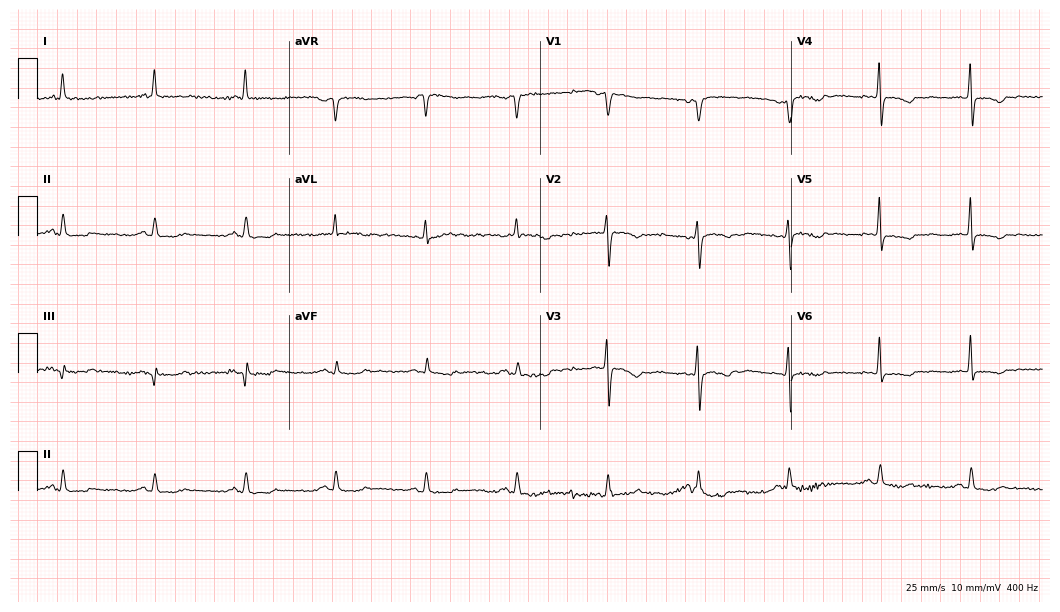
Electrocardiogram, a 66-year-old female patient. Of the six screened findings (first-degree AV block, right bundle branch block (RBBB), left bundle branch block (LBBB), sinus bradycardia, atrial fibrillation (AF), sinus tachycardia), none is recorded.